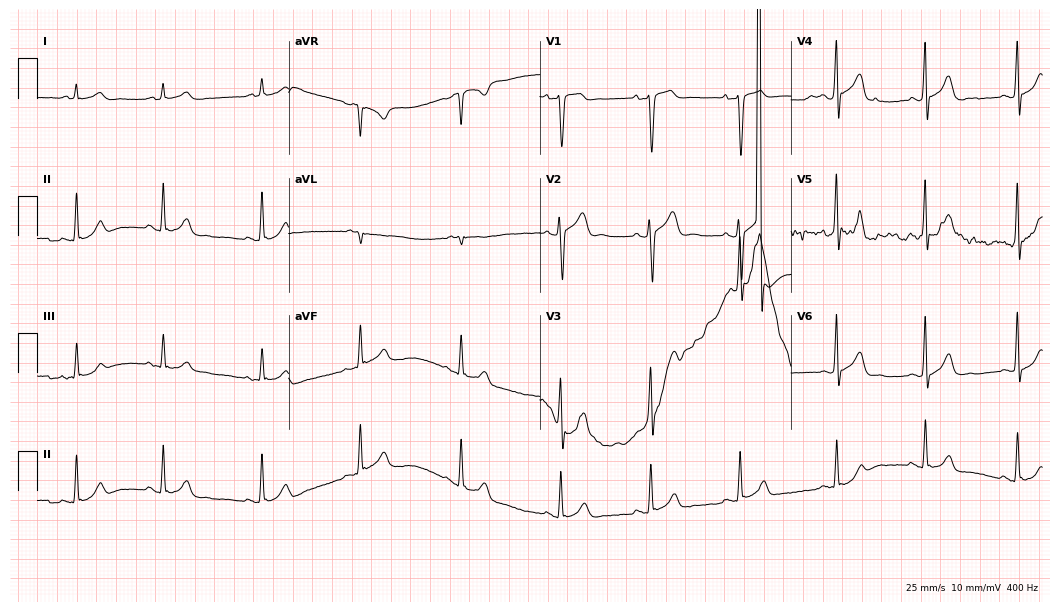
Resting 12-lead electrocardiogram. Patient: a male, 20 years old. Read as a normal ECG.